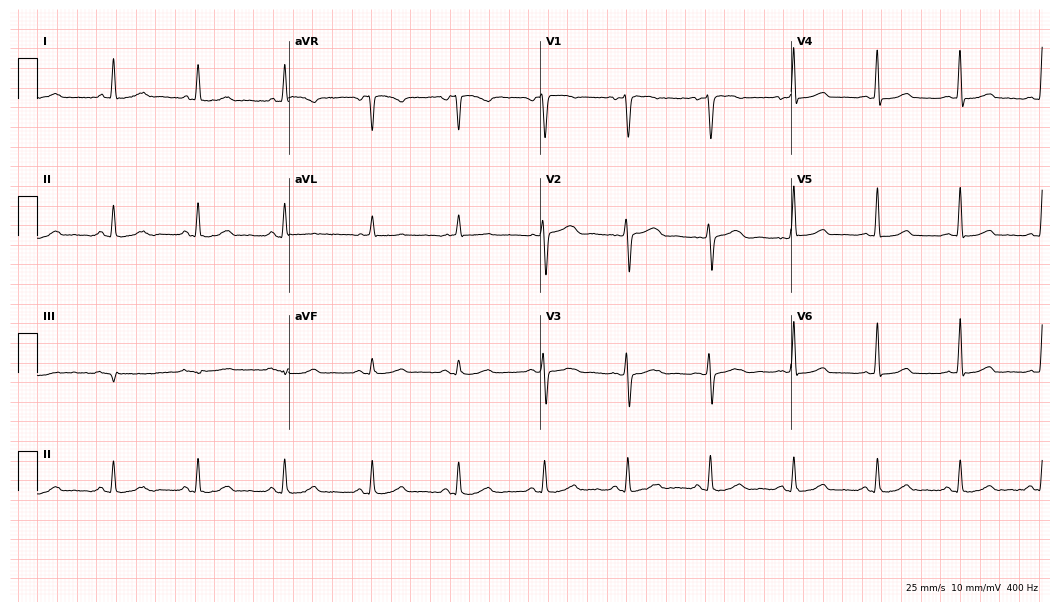
12-lead ECG (10.2-second recording at 400 Hz) from a 56-year-old woman. Screened for six findings — first-degree AV block, right bundle branch block, left bundle branch block, sinus bradycardia, atrial fibrillation, sinus tachycardia — none is recorded. Only these six findings were labelled.